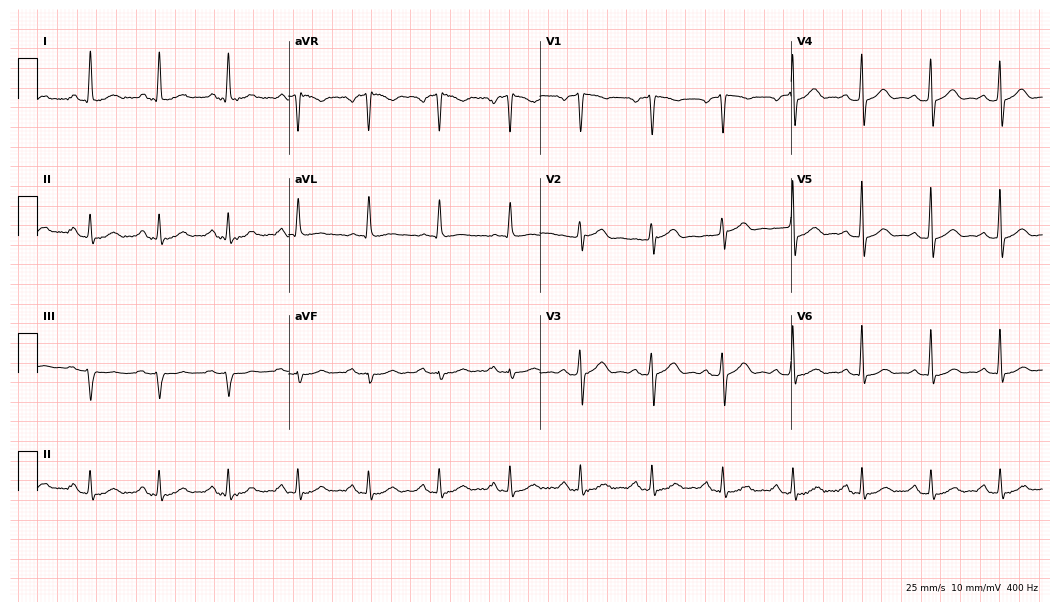
ECG — a 53-year-old man. Screened for six findings — first-degree AV block, right bundle branch block (RBBB), left bundle branch block (LBBB), sinus bradycardia, atrial fibrillation (AF), sinus tachycardia — none is recorded. Findings outside these six are not listed.